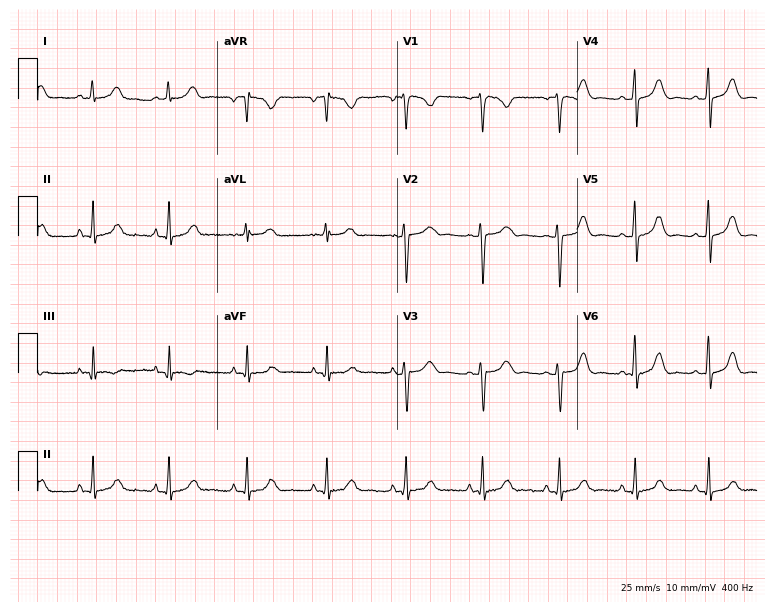
Electrocardiogram (7.3-second recording at 400 Hz), a woman, 40 years old. Overall reading on record: normal ECG.